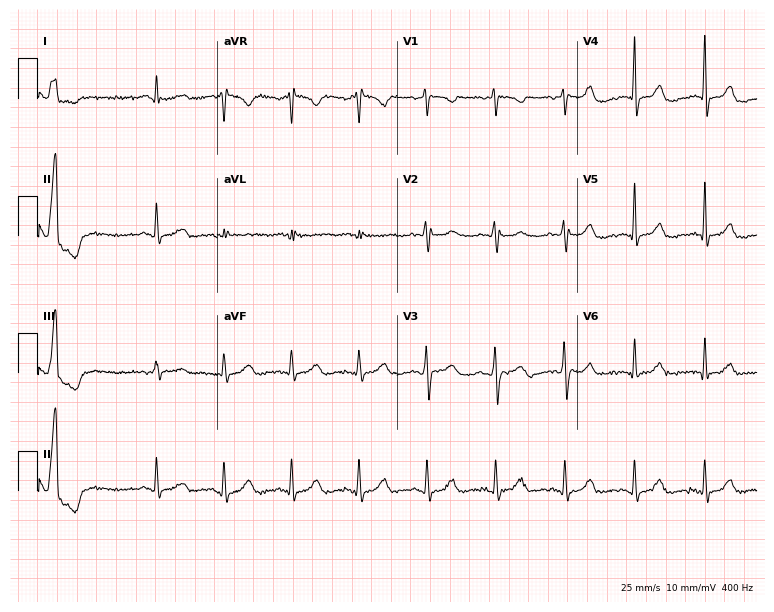
Electrocardiogram, a woman, 81 years old. Overall reading on record: normal ECG.